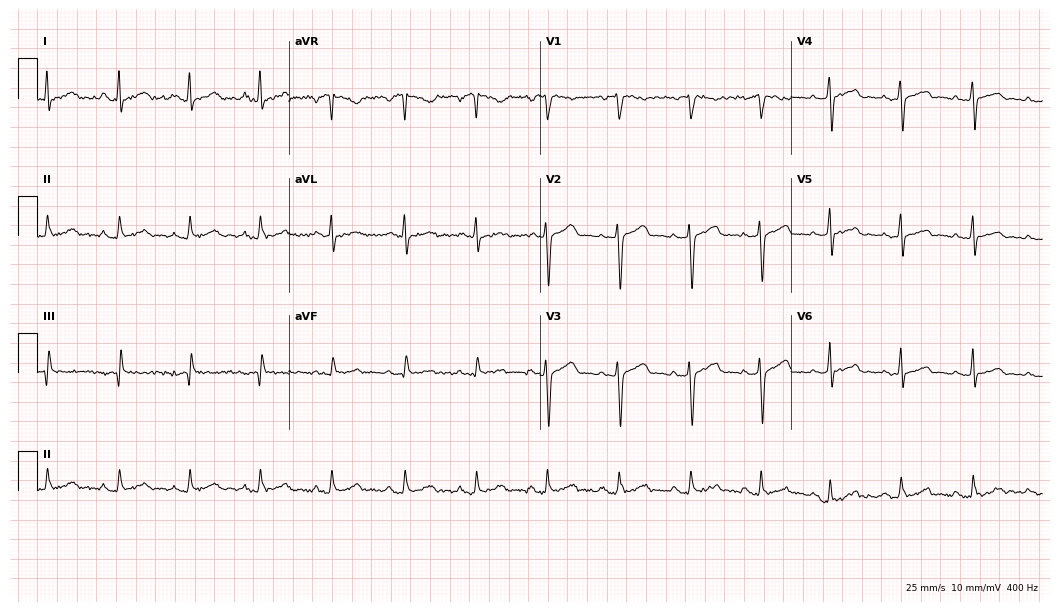
12-lead ECG from a woman, 27 years old (10.2-second recording at 400 Hz). Recorded interpretation: within normal limits.